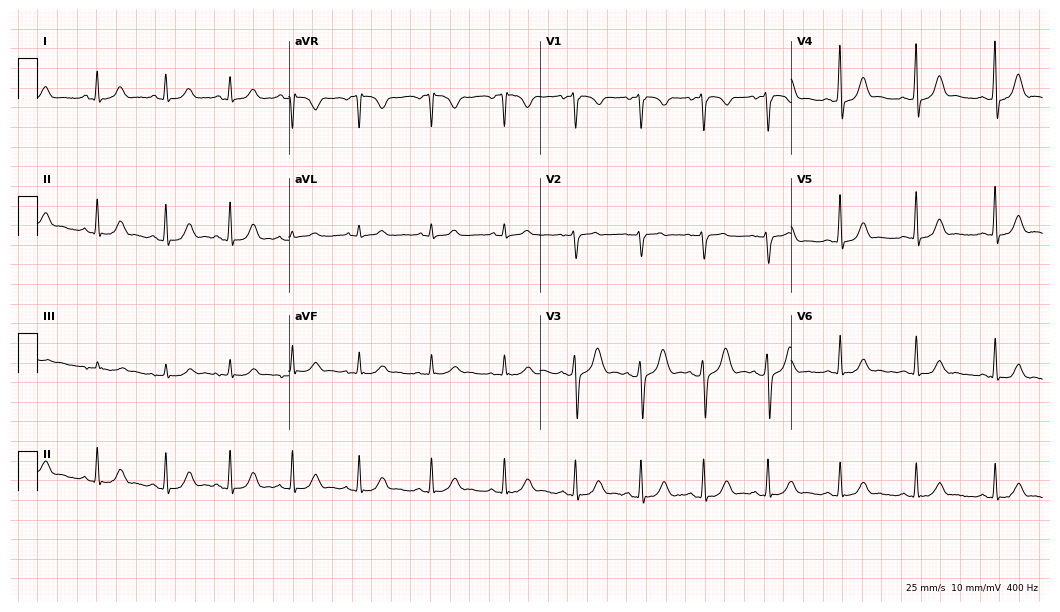
Resting 12-lead electrocardiogram (10.2-second recording at 400 Hz). Patient: a female, 22 years old. Read as a normal ECG.